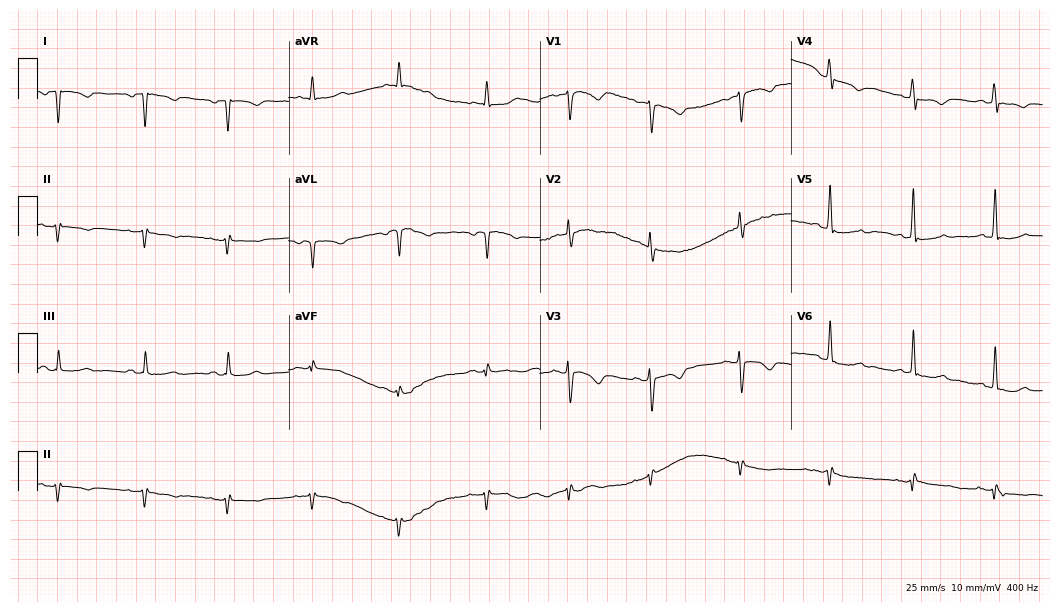
Standard 12-lead ECG recorded from a female patient, 49 years old (10.2-second recording at 400 Hz). None of these six findings is recorded: first-degree AV block, right bundle branch block (RBBB), left bundle branch block (LBBB), sinus bradycardia, atrial fibrillation (AF), sinus tachycardia. Findings outside these six are not listed.